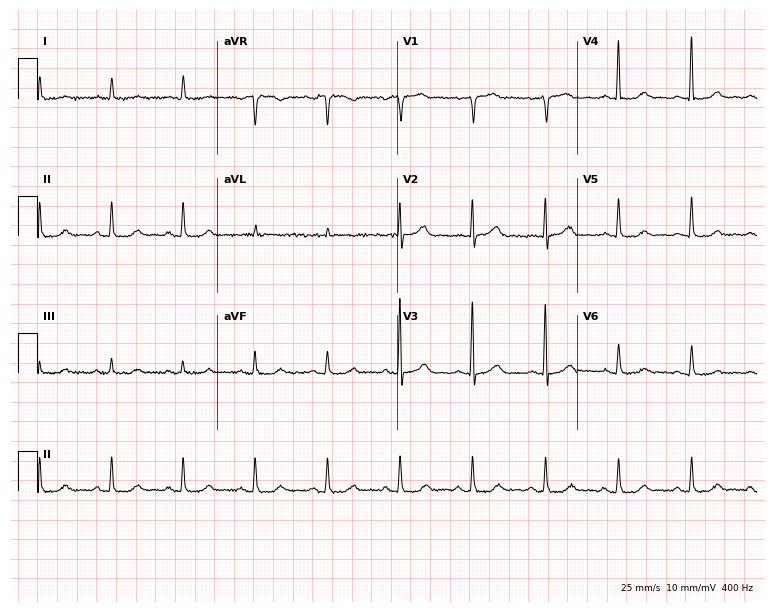
12-lead ECG from a woman, 76 years old. No first-degree AV block, right bundle branch block (RBBB), left bundle branch block (LBBB), sinus bradycardia, atrial fibrillation (AF) or sinus tachycardia recorded for this tracing.